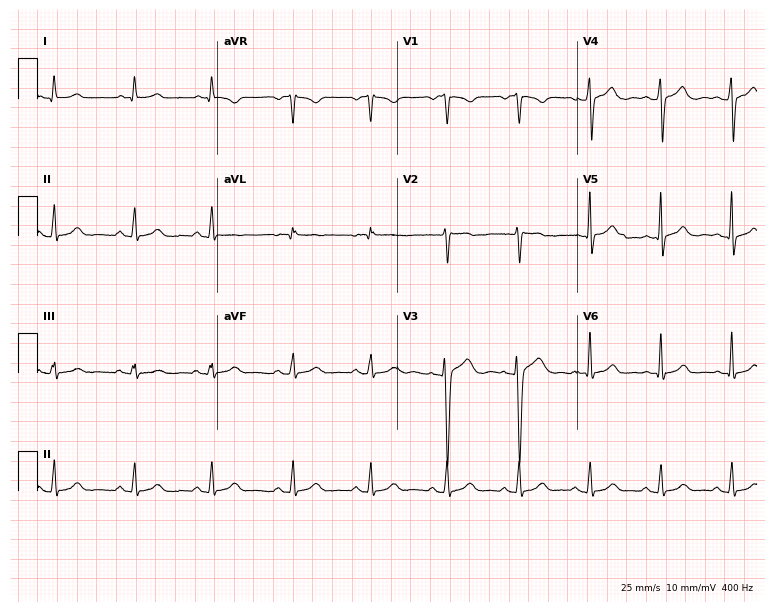
Resting 12-lead electrocardiogram (7.3-second recording at 400 Hz). Patient: a 33-year-old woman. Read as a normal ECG.